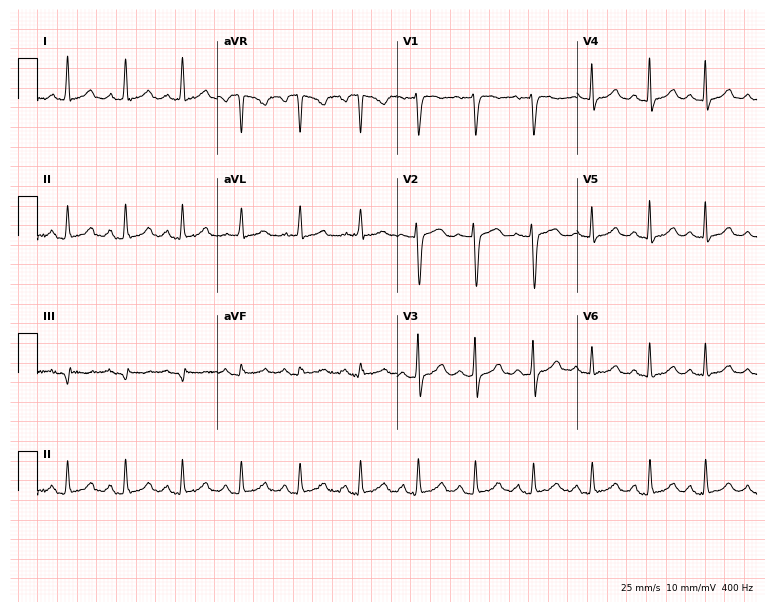
Resting 12-lead electrocardiogram (7.3-second recording at 400 Hz). Patient: a 56-year-old female. The tracing shows sinus tachycardia (a sinus rate of 100 beats per minute or more).